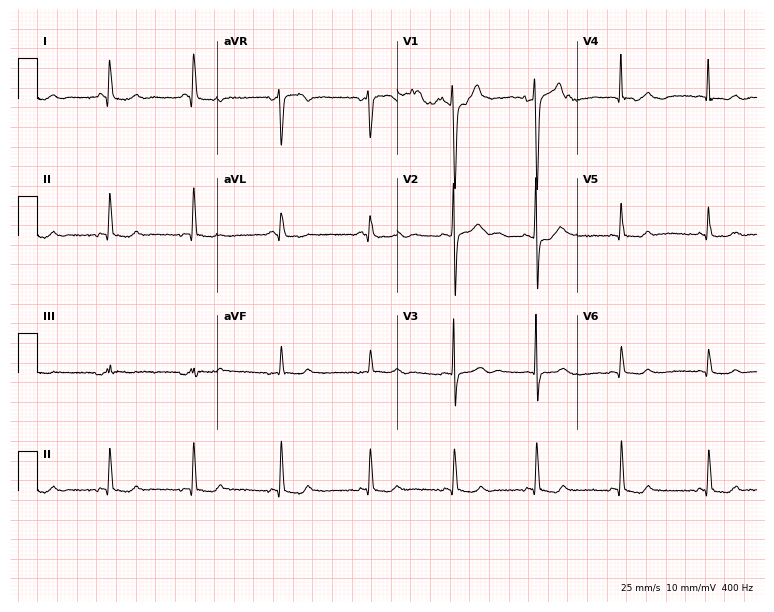
Resting 12-lead electrocardiogram (7.3-second recording at 400 Hz). Patient: a 46-year-old male. None of these six findings is recorded: first-degree AV block, right bundle branch block (RBBB), left bundle branch block (LBBB), sinus bradycardia, atrial fibrillation (AF), sinus tachycardia.